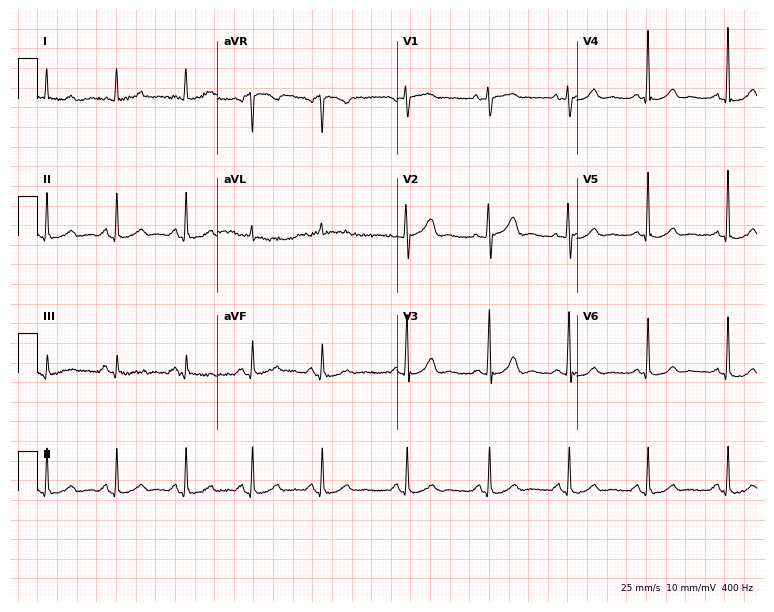
Standard 12-lead ECG recorded from a female, 67 years old (7.3-second recording at 400 Hz). Read as a normal ECG.